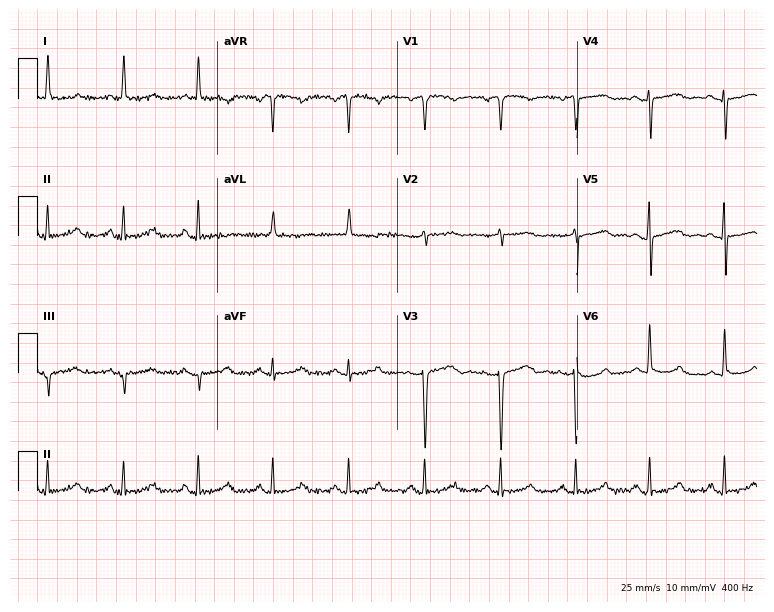
Resting 12-lead electrocardiogram (7.3-second recording at 400 Hz). Patient: a 73-year-old female. Read as a normal ECG.